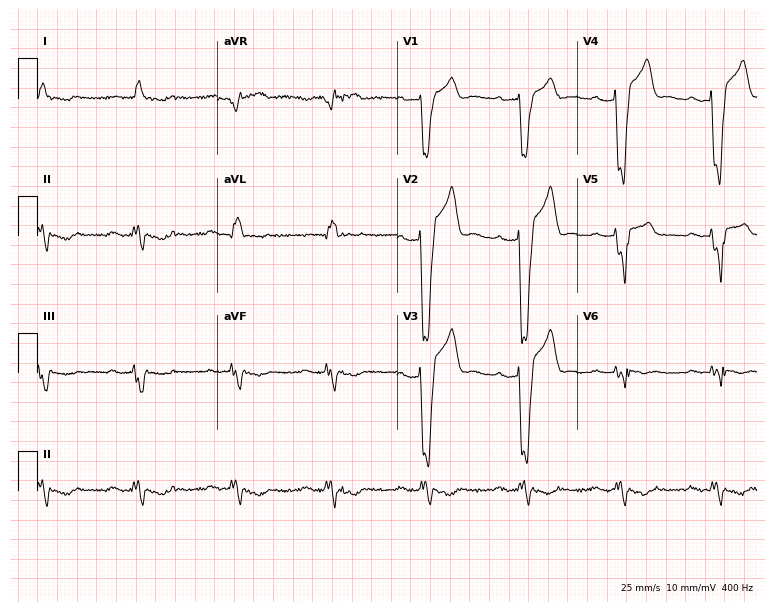
12-lead ECG (7.3-second recording at 400 Hz) from a 69-year-old male patient. Findings include first-degree AV block, left bundle branch block (LBBB).